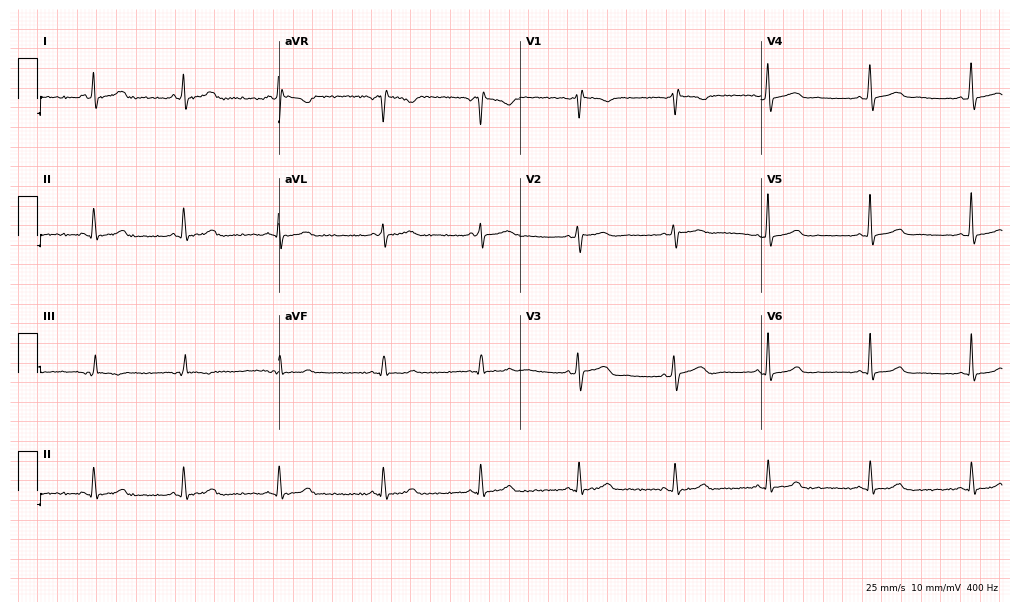
ECG (9.8-second recording at 400 Hz) — a female, 40 years old. Labelled as a normal ECG.